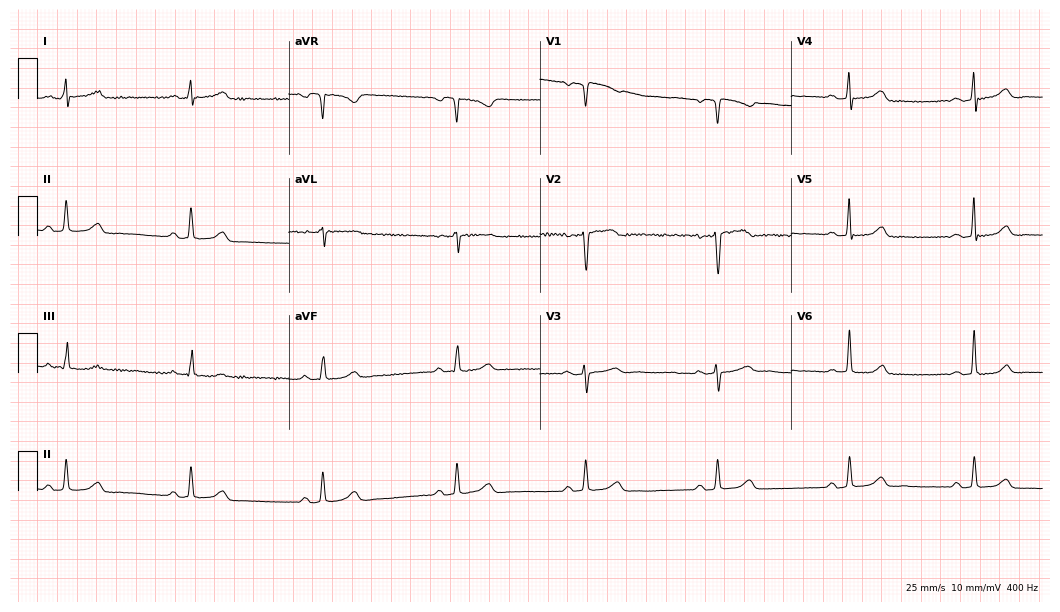
12-lead ECG from a woman, 56 years old. Findings include sinus bradycardia (a sinus rate of 50 beats per minute or less).